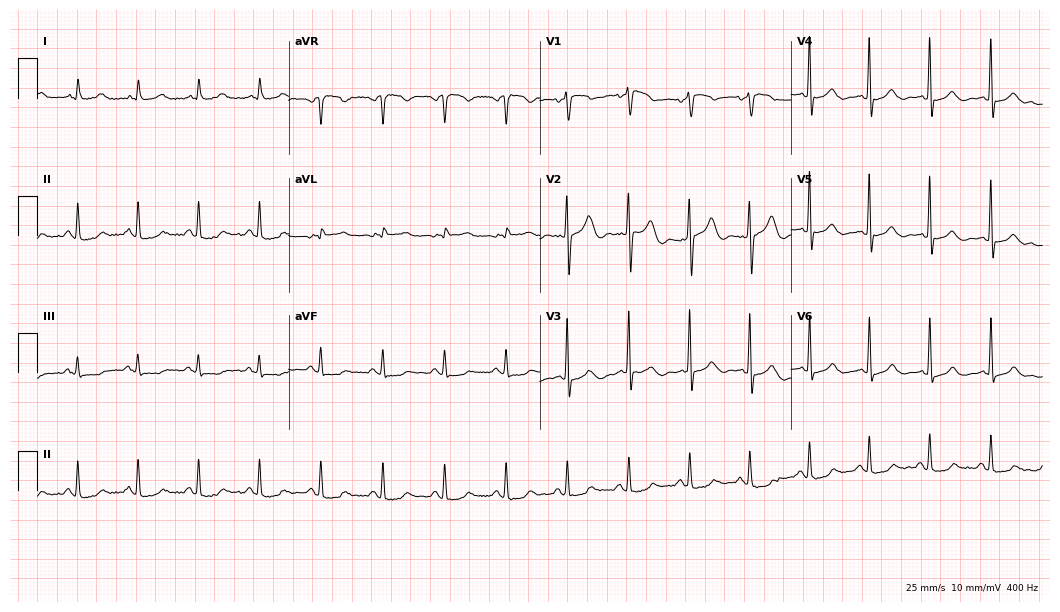
Resting 12-lead electrocardiogram (10.2-second recording at 400 Hz). Patient: a female, 61 years old. None of these six findings is recorded: first-degree AV block, right bundle branch block, left bundle branch block, sinus bradycardia, atrial fibrillation, sinus tachycardia. Findings outside these six are not listed.